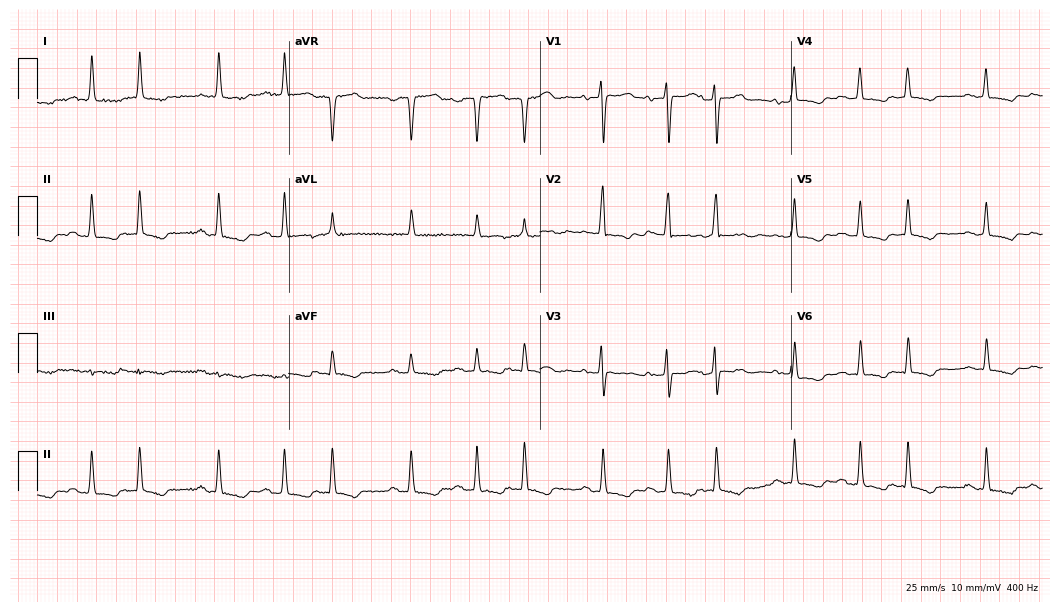
ECG (10.2-second recording at 400 Hz) — a woman, 70 years old. Screened for six findings — first-degree AV block, right bundle branch block (RBBB), left bundle branch block (LBBB), sinus bradycardia, atrial fibrillation (AF), sinus tachycardia — none is recorded. Findings outside these six are not listed.